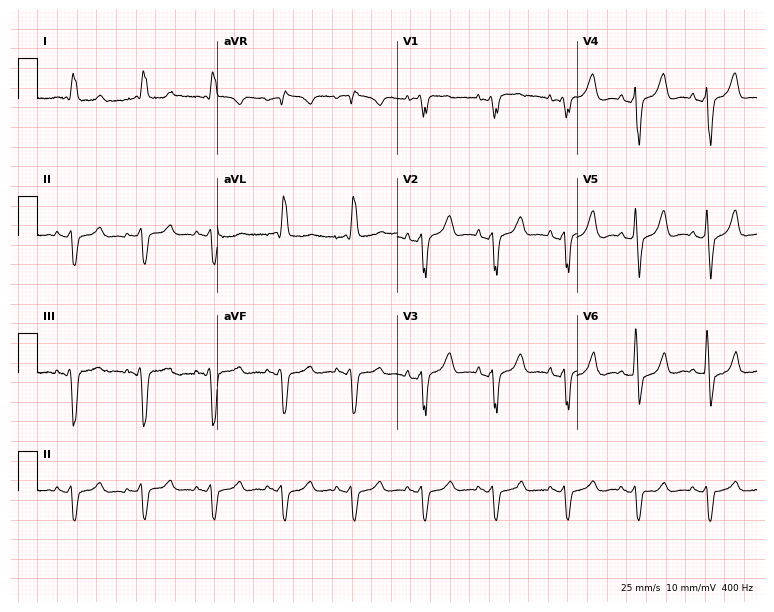
Electrocardiogram (7.3-second recording at 400 Hz), a male, 84 years old. Of the six screened findings (first-degree AV block, right bundle branch block, left bundle branch block, sinus bradycardia, atrial fibrillation, sinus tachycardia), none is recorded.